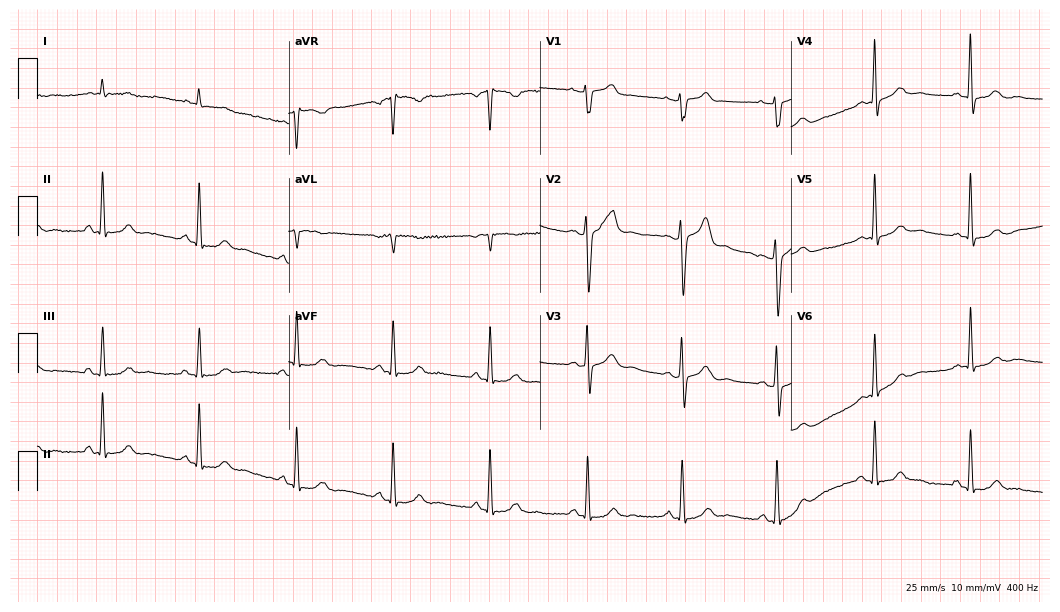
Standard 12-lead ECG recorded from a 61-year-old man. None of these six findings is recorded: first-degree AV block, right bundle branch block, left bundle branch block, sinus bradycardia, atrial fibrillation, sinus tachycardia.